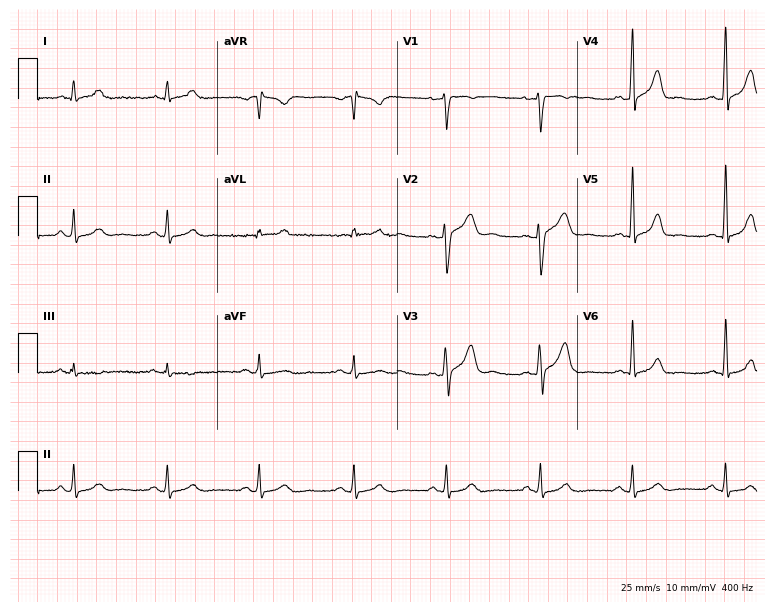
12-lead ECG from a male patient, 35 years old (7.3-second recording at 400 Hz). Recorded interpretation: within normal limits.